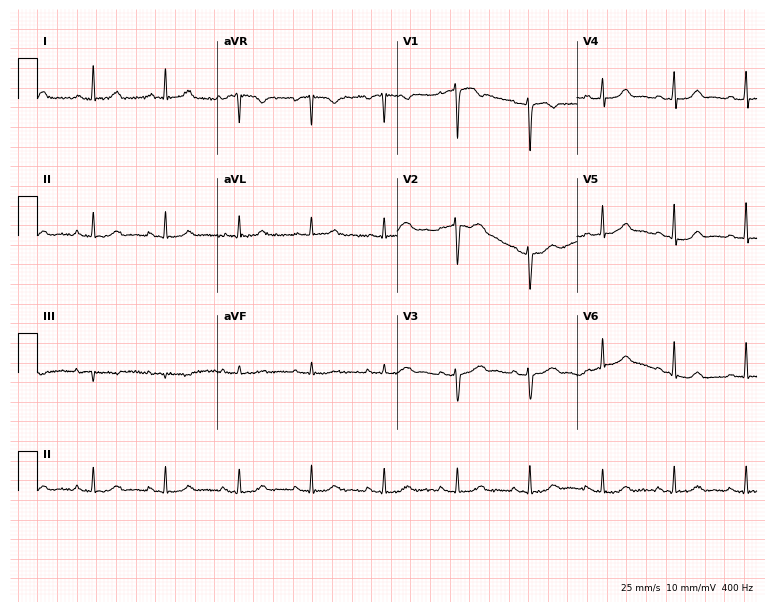
12-lead ECG from a female, 35 years old. No first-degree AV block, right bundle branch block, left bundle branch block, sinus bradycardia, atrial fibrillation or sinus tachycardia recorded for this tracing. Only these six findings were labelled.